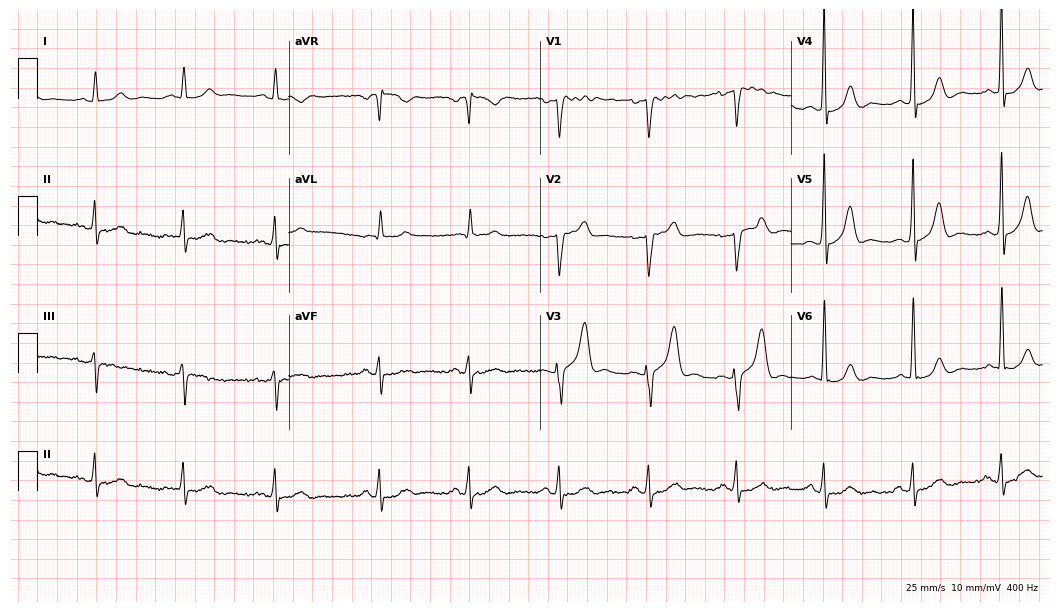
Electrocardiogram, a male, 74 years old. Of the six screened findings (first-degree AV block, right bundle branch block (RBBB), left bundle branch block (LBBB), sinus bradycardia, atrial fibrillation (AF), sinus tachycardia), none is recorded. Findings outside these six are not listed.